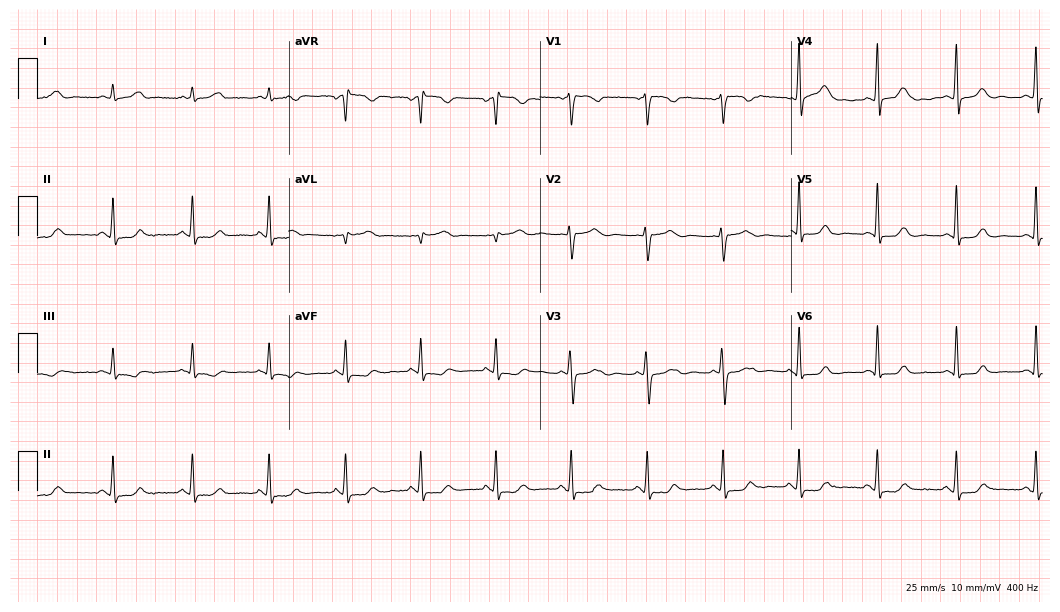
ECG (10.2-second recording at 400 Hz) — a female, 35 years old. Labelled as a normal ECG.